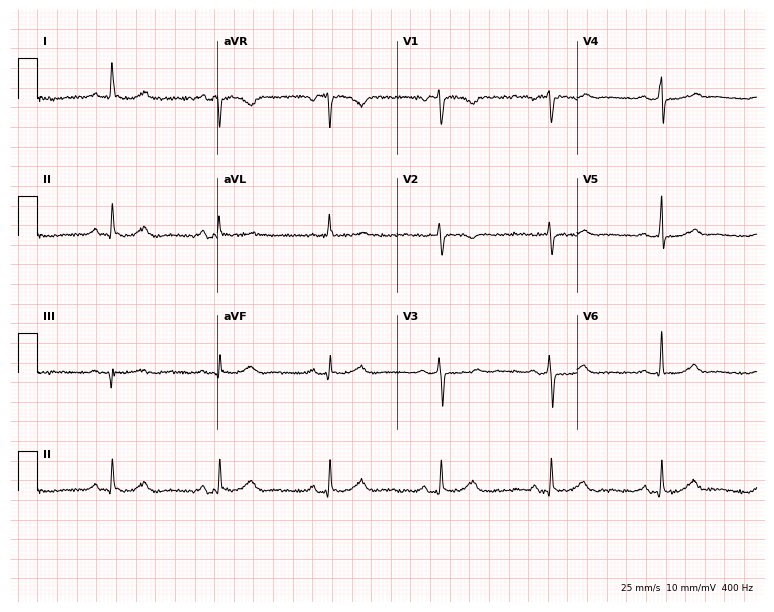
12-lead ECG from a woman, 53 years old. Recorded interpretation: within normal limits.